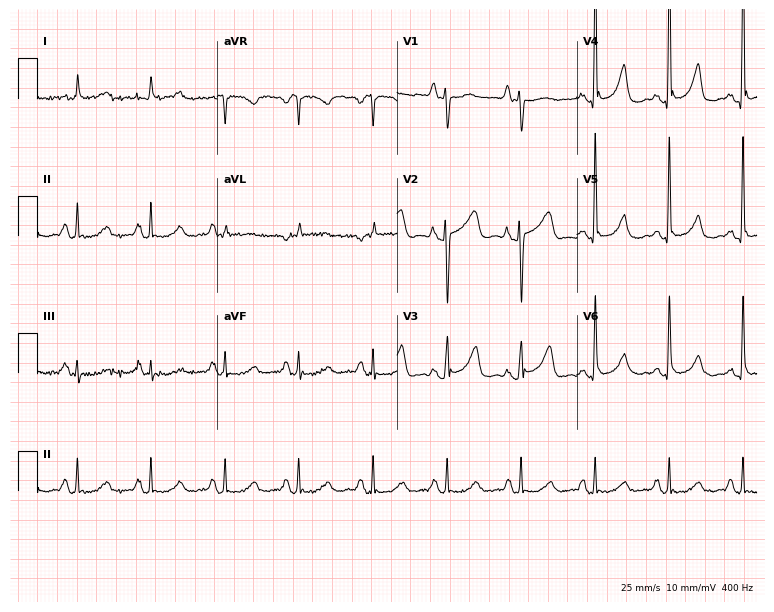
Electrocardiogram, a woman, 73 years old. Of the six screened findings (first-degree AV block, right bundle branch block (RBBB), left bundle branch block (LBBB), sinus bradycardia, atrial fibrillation (AF), sinus tachycardia), none is recorded.